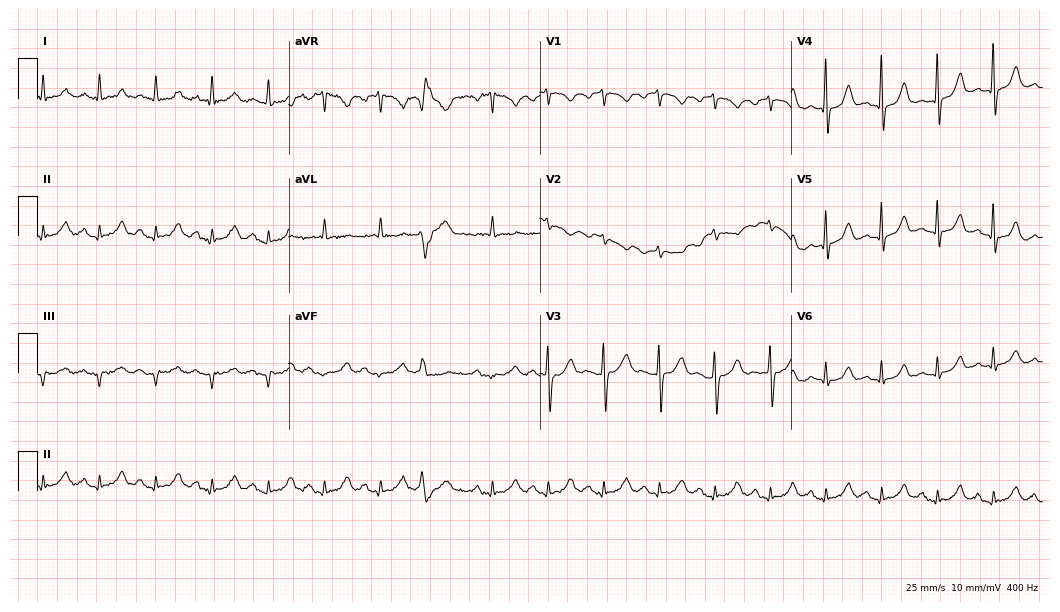
Standard 12-lead ECG recorded from a female patient, 73 years old (10.2-second recording at 400 Hz). The tracing shows sinus tachycardia (a sinus rate of 100 beats per minute or more).